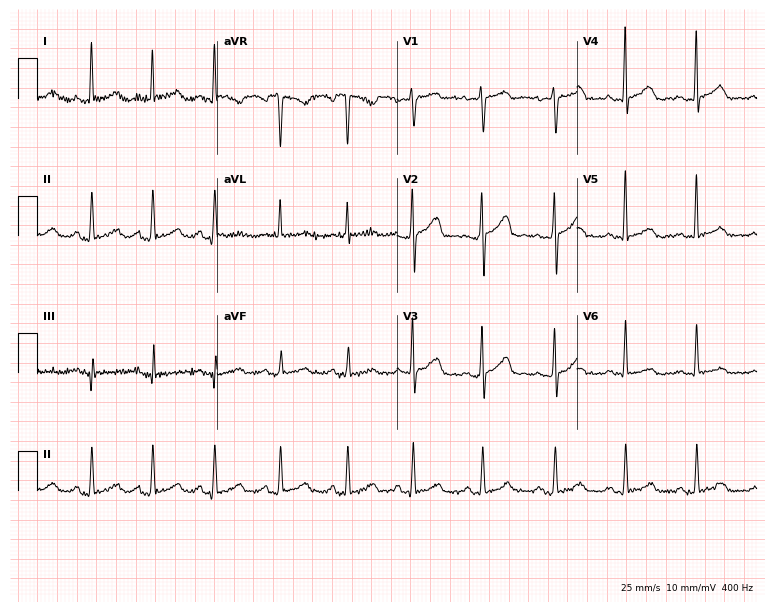
Electrocardiogram (7.3-second recording at 400 Hz), a 59-year-old female patient. Overall reading on record: normal ECG.